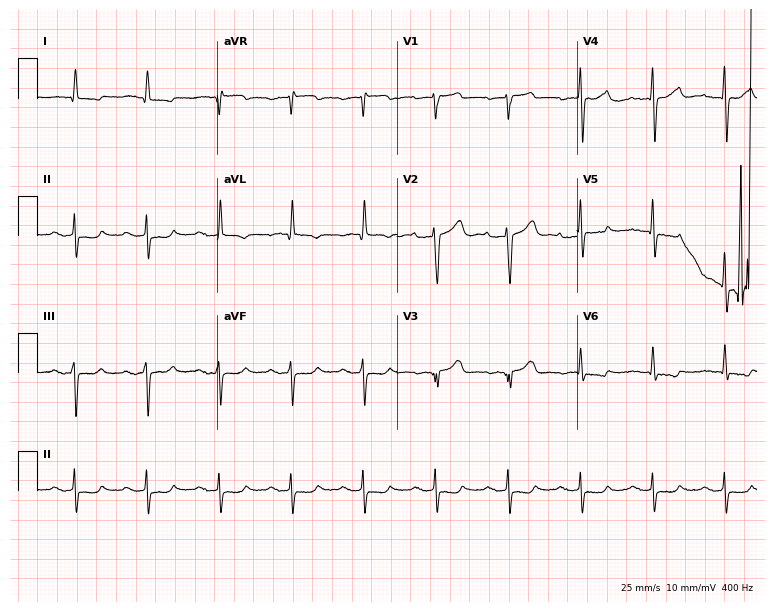
12-lead ECG from a 69-year-old male. No first-degree AV block, right bundle branch block, left bundle branch block, sinus bradycardia, atrial fibrillation or sinus tachycardia recorded for this tracing. Only these six findings were labelled.